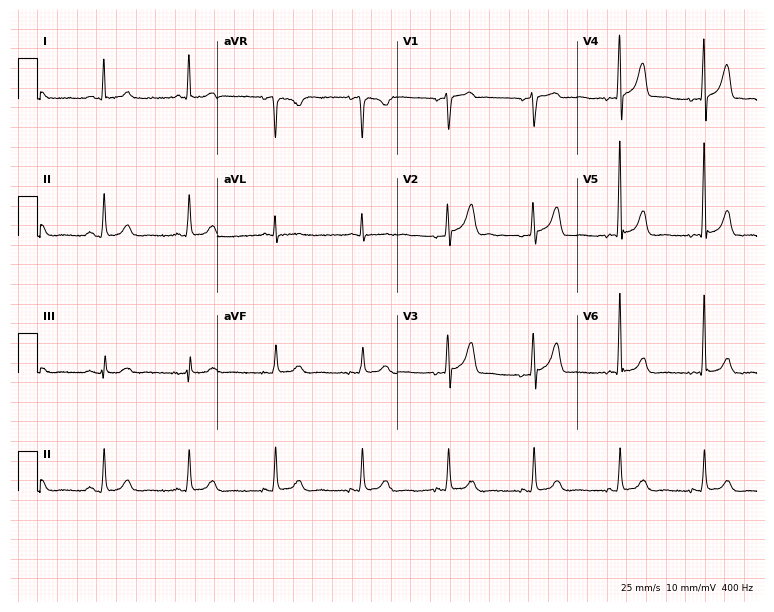
Standard 12-lead ECG recorded from a 66-year-old male. Read as a normal ECG.